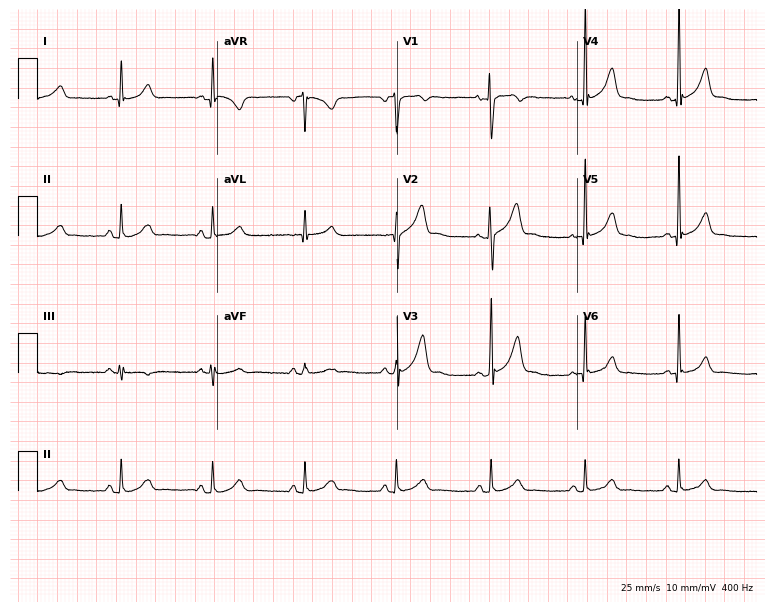
ECG — a male, 45 years old. Labelled as a normal ECG.